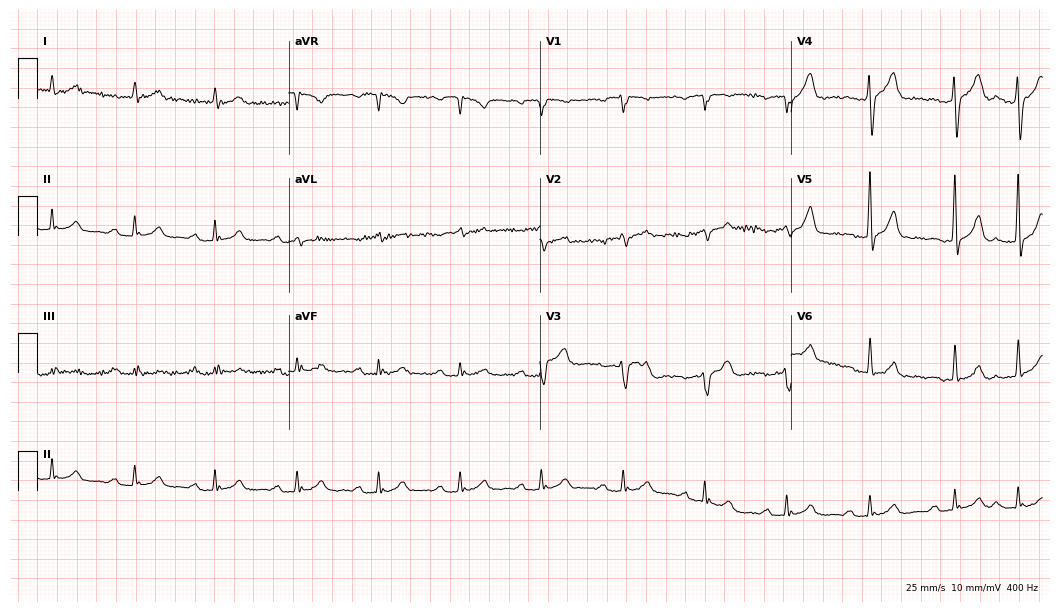
ECG — a 77-year-old male patient. Findings include first-degree AV block.